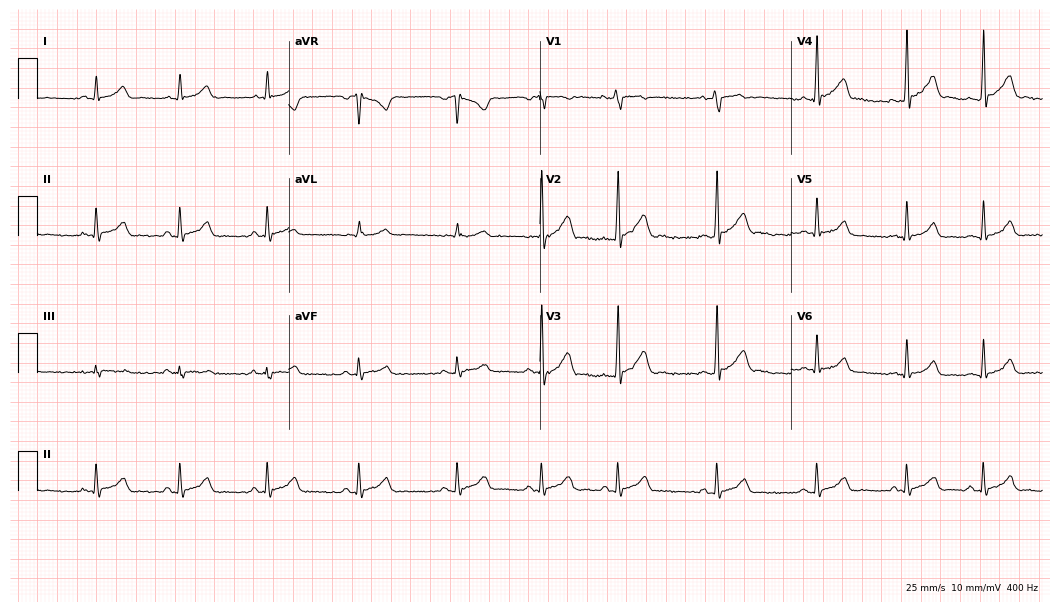
12-lead ECG from a 20-year-old man. Labelled as a normal ECG.